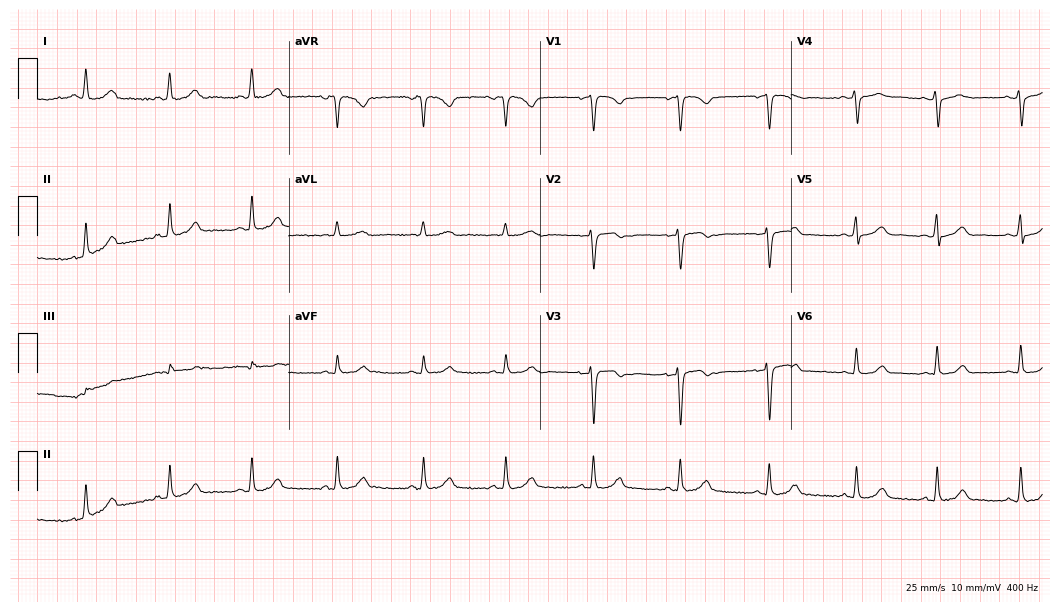
Resting 12-lead electrocardiogram (10.2-second recording at 400 Hz). Patient: a female, 42 years old. Read as a normal ECG.